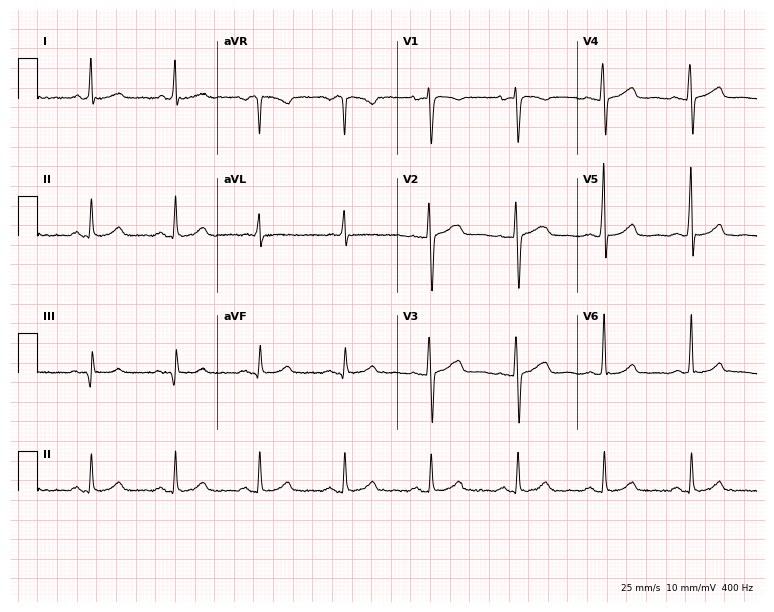
Resting 12-lead electrocardiogram (7.3-second recording at 400 Hz). Patient: a female, 55 years old. Read as a normal ECG.